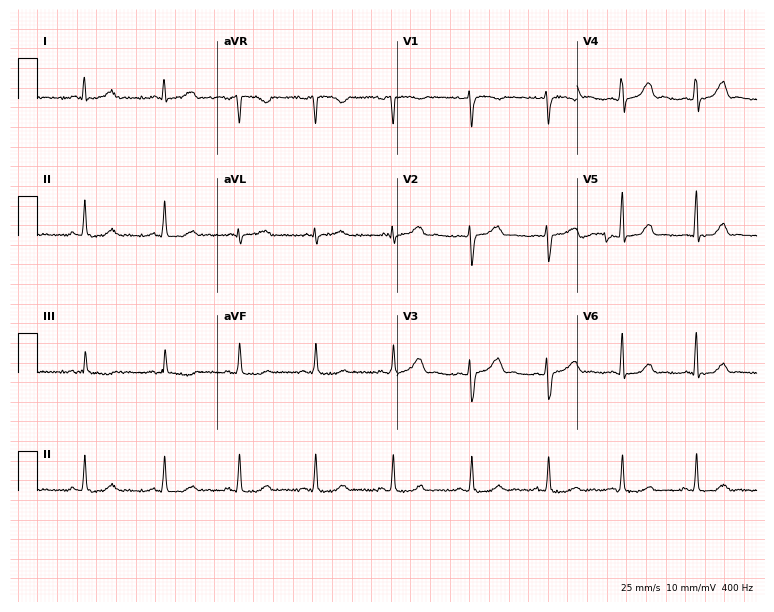
Resting 12-lead electrocardiogram (7.3-second recording at 400 Hz). Patient: a woman, 40 years old. None of these six findings is recorded: first-degree AV block, right bundle branch block, left bundle branch block, sinus bradycardia, atrial fibrillation, sinus tachycardia.